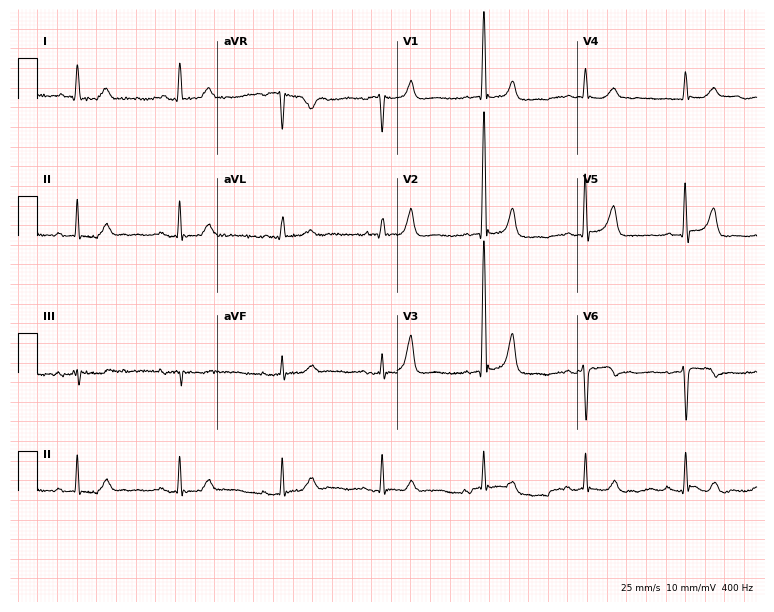
Electrocardiogram (7.3-second recording at 400 Hz), a male patient, 77 years old. Of the six screened findings (first-degree AV block, right bundle branch block, left bundle branch block, sinus bradycardia, atrial fibrillation, sinus tachycardia), none is recorded. Other findings, if any, are not listed.